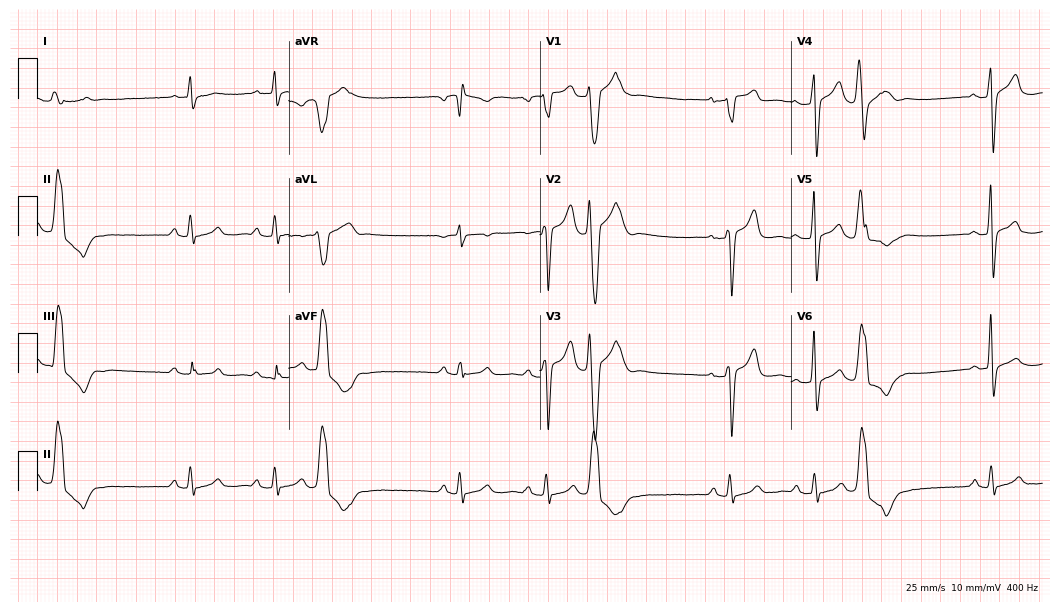
Standard 12-lead ECG recorded from a male patient, 53 years old (10.2-second recording at 400 Hz). None of these six findings is recorded: first-degree AV block, right bundle branch block, left bundle branch block, sinus bradycardia, atrial fibrillation, sinus tachycardia. Other findings, if any, are not listed.